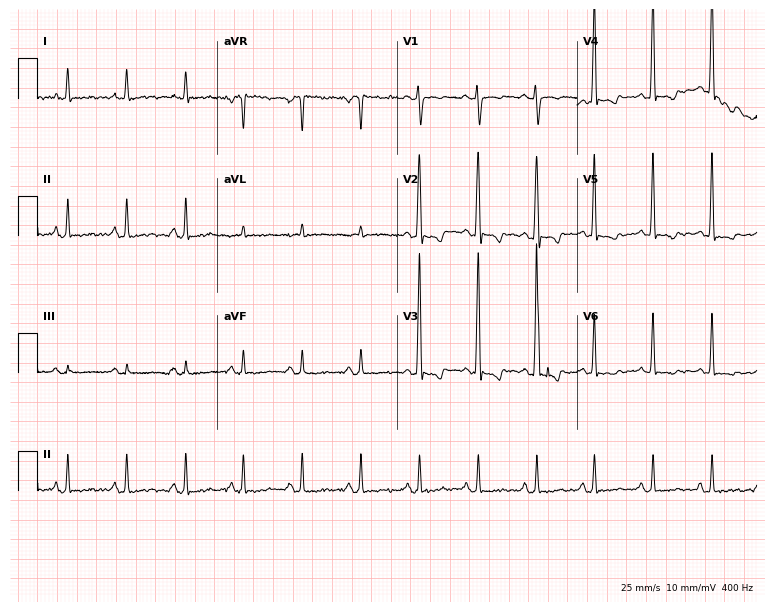
ECG — a male patient, 41 years old. Screened for six findings — first-degree AV block, right bundle branch block, left bundle branch block, sinus bradycardia, atrial fibrillation, sinus tachycardia — none is recorded.